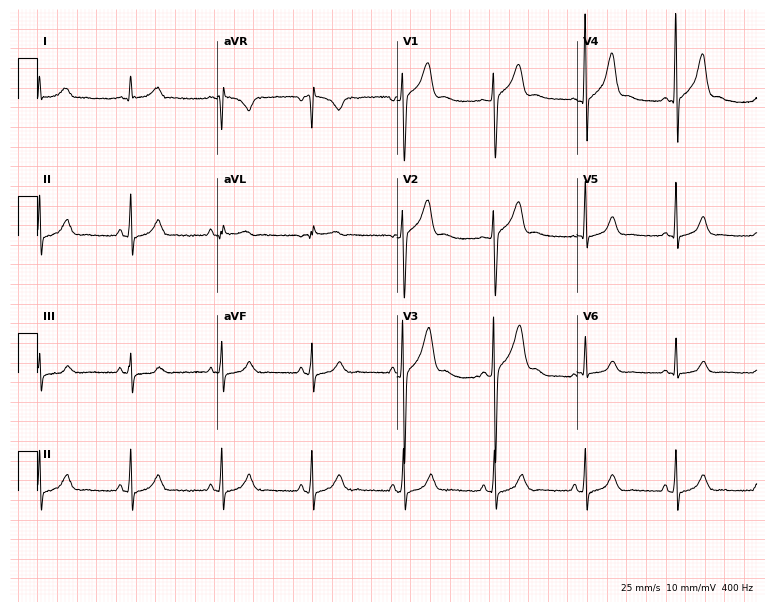
12-lead ECG from a 27-year-old male patient. Labelled as a normal ECG.